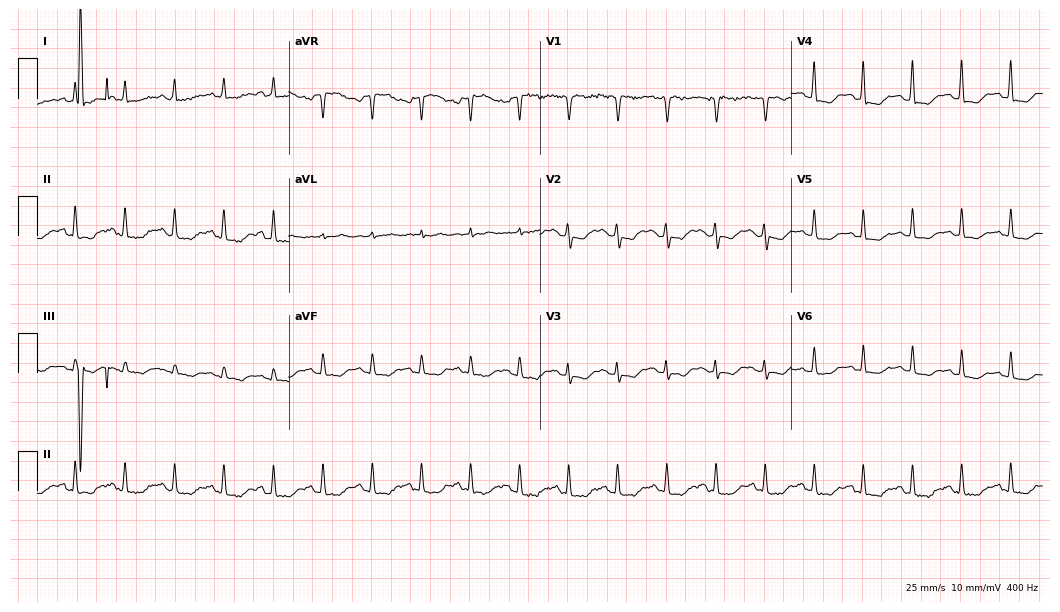
Resting 12-lead electrocardiogram. Patient: a 44-year-old female. The tracing shows sinus tachycardia (a sinus rate of 100 beats per minute or more).